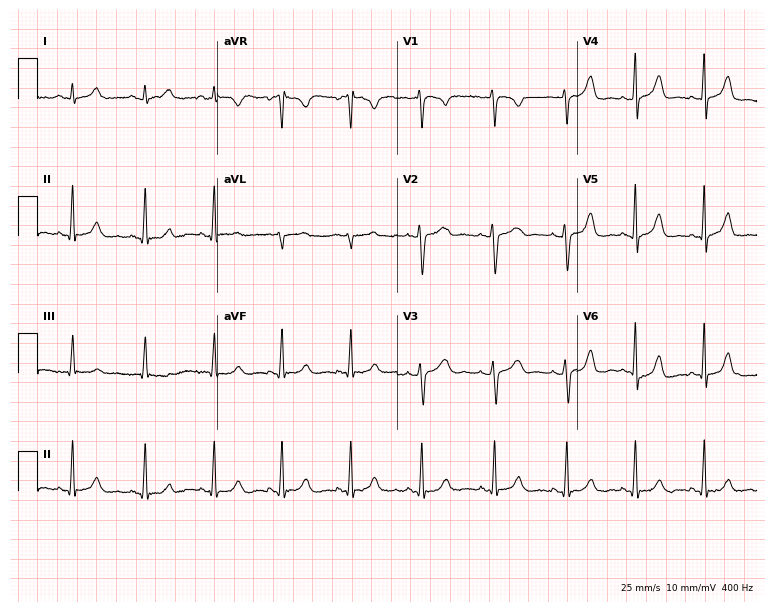
Resting 12-lead electrocardiogram. Patient: a female, 30 years old. Read as a normal ECG.